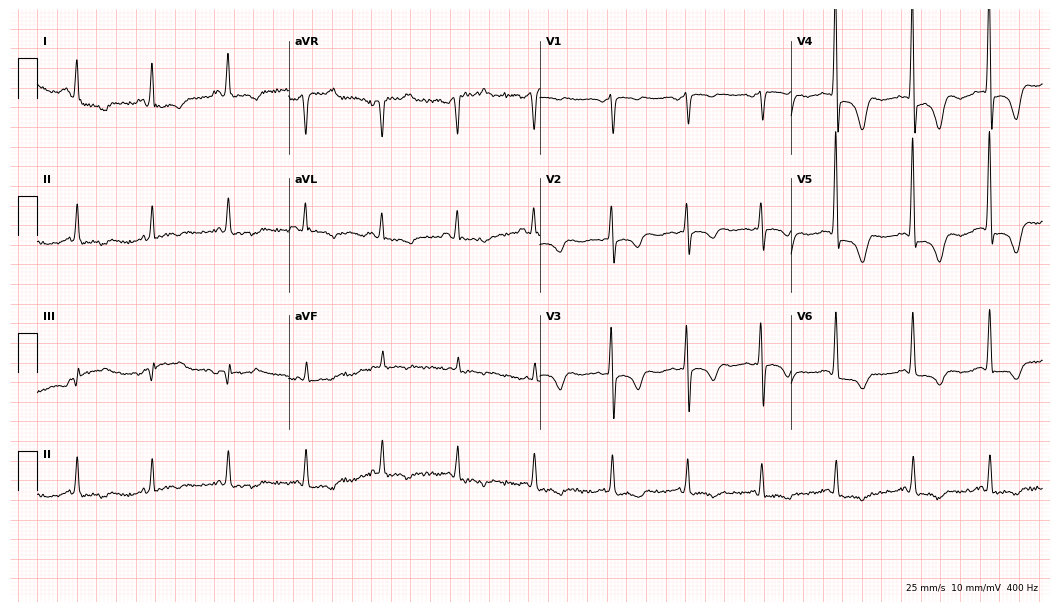
ECG — an 83-year-old woman. Screened for six findings — first-degree AV block, right bundle branch block, left bundle branch block, sinus bradycardia, atrial fibrillation, sinus tachycardia — none is recorded. Only these six findings were labelled.